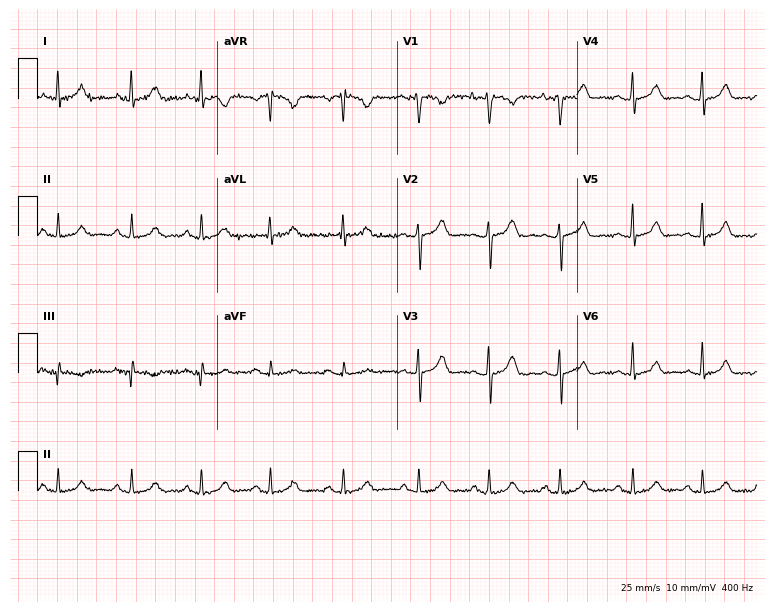
Resting 12-lead electrocardiogram (7.3-second recording at 400 Hz). Patient: a 36-year-old female. None of these six findings is recorded: first-degree AV block, right bundle branch block, left bundle branch block, sinus bradycardia, atrial fibrillation, sinus tachycardia. Other findings, if any, are not listed.